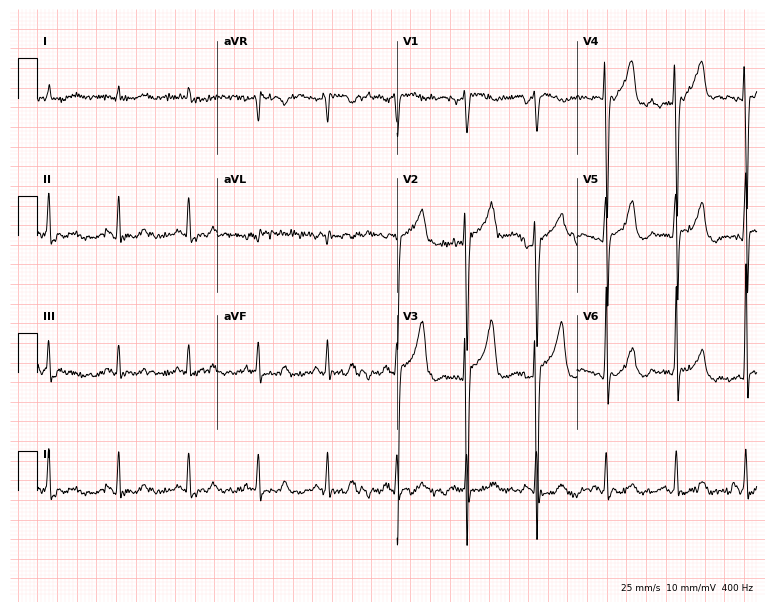
Electrocardiogram, a male, 84 years old. Overall reading on record: normal ECG.